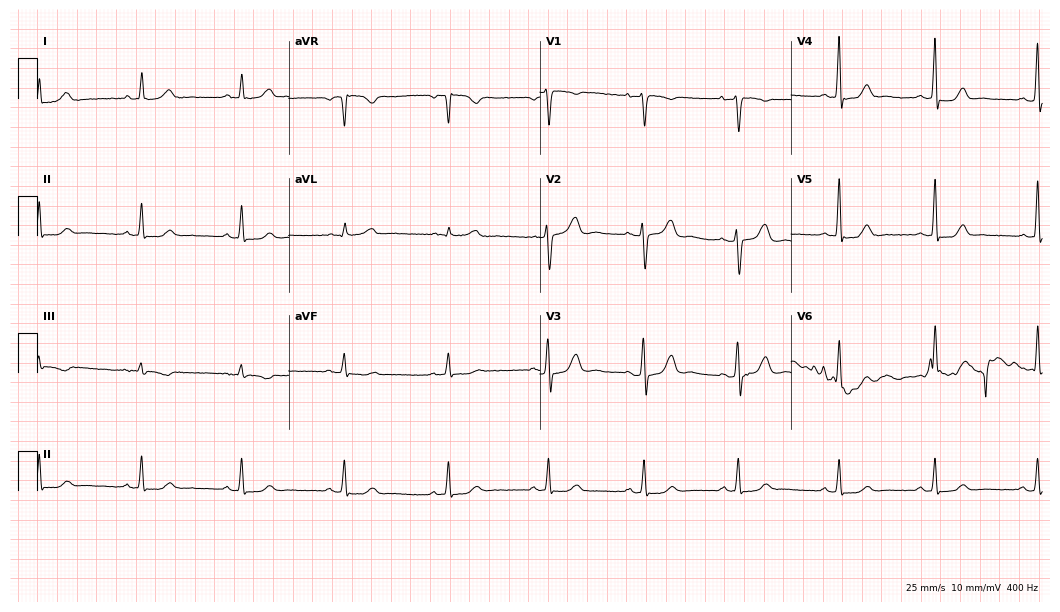
12-lead ECG from a female patient, 44 years old. Screened for six findings — first-degree AV block, right bundle branch block (RBBB), left bundle branch block (LBBB), sinus bradycardia, atrial fibrillation (AF), sinus tachycardia — none is recorded.